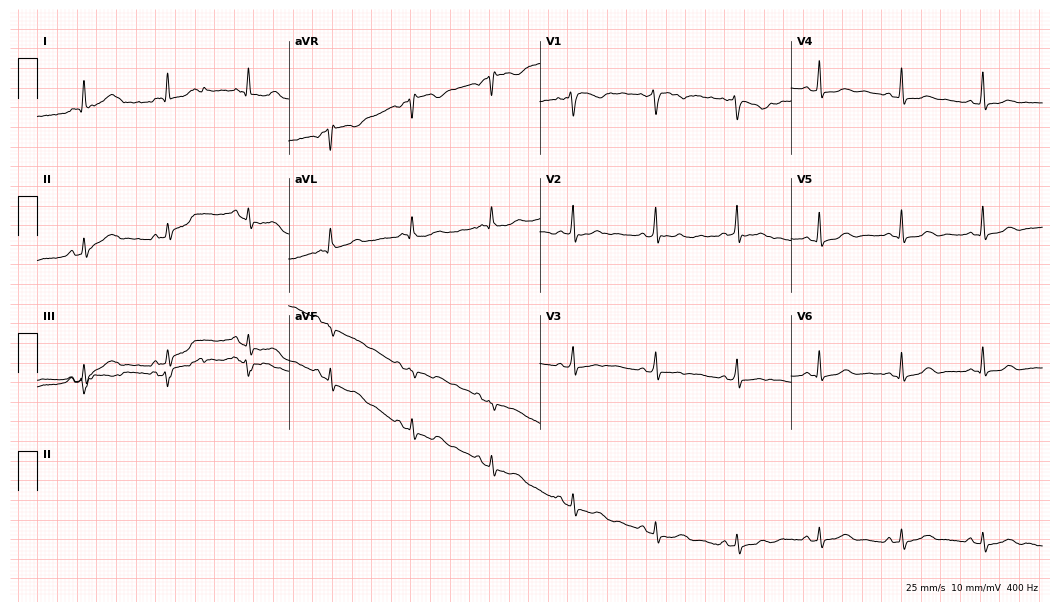
ECG — a female, 41 years old. Screened for six findings — first-degree AV block, right bundle branch block, left bundle branch block, sinus bradycardia, atrial fibrillation, sinus tachycardia — none is recorded. Other findings, if any, are not listed.